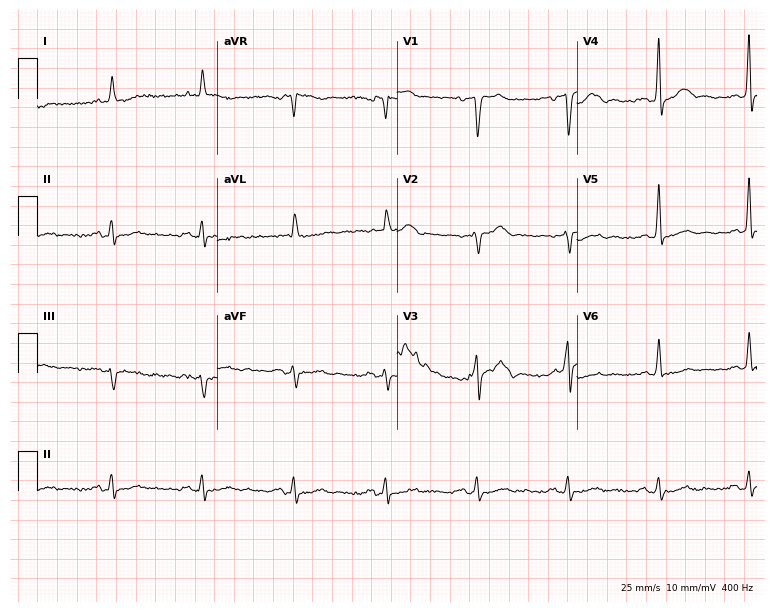
Standard 12-lead ECG recorded from an 81-year-old man (7.3-second recording at 400 Hz). None of these six findings is recorded: first-degree AV block, right bundle branch block, left bundle branch block, sinus bradycardia, atrial fibrillation, sinus tachycardia.